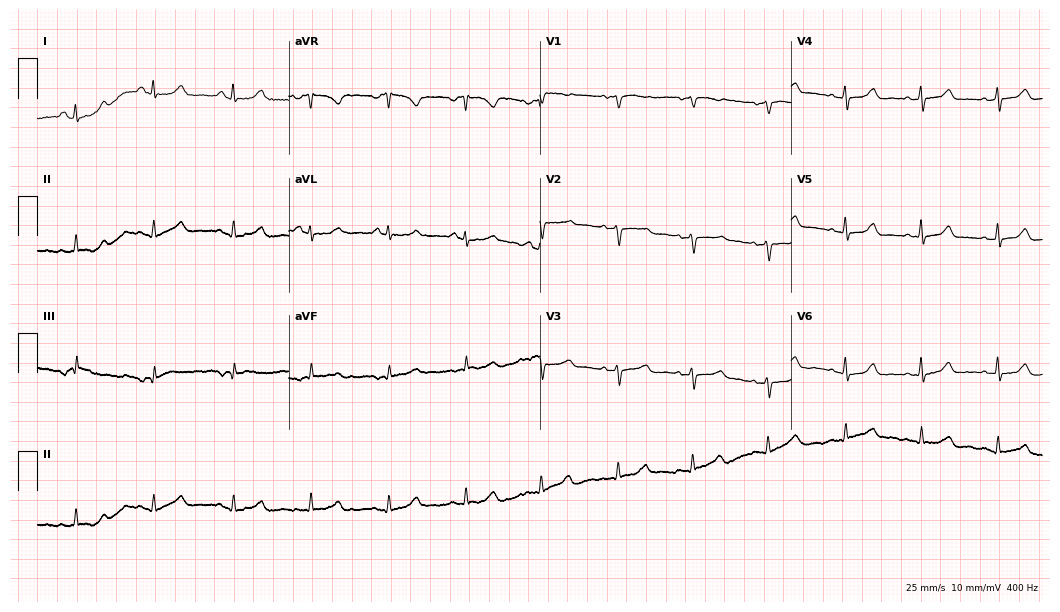
12-lead ECG from a 38-year-old female. Labelled as a normal ECG.